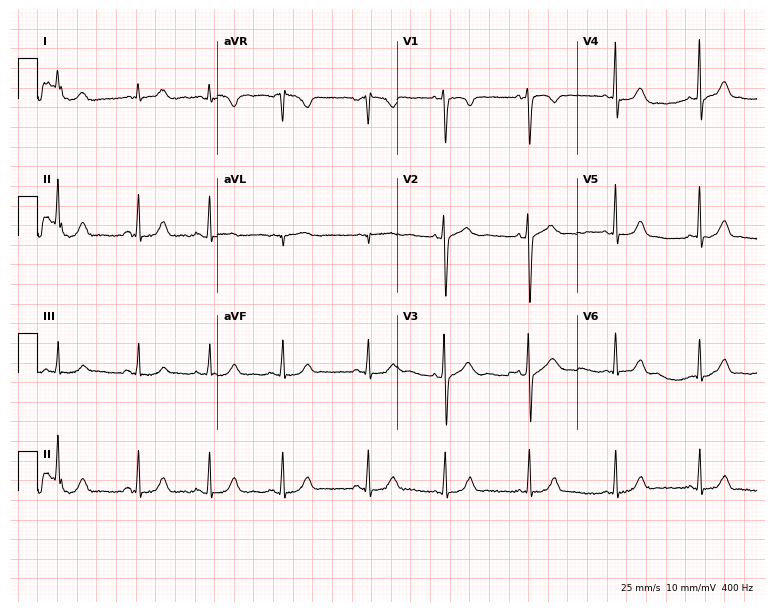
12-lead ECG from a female patient, 32 years old (7.3-second recording at 400 Hz). Recorded interpretation: within normal limits.